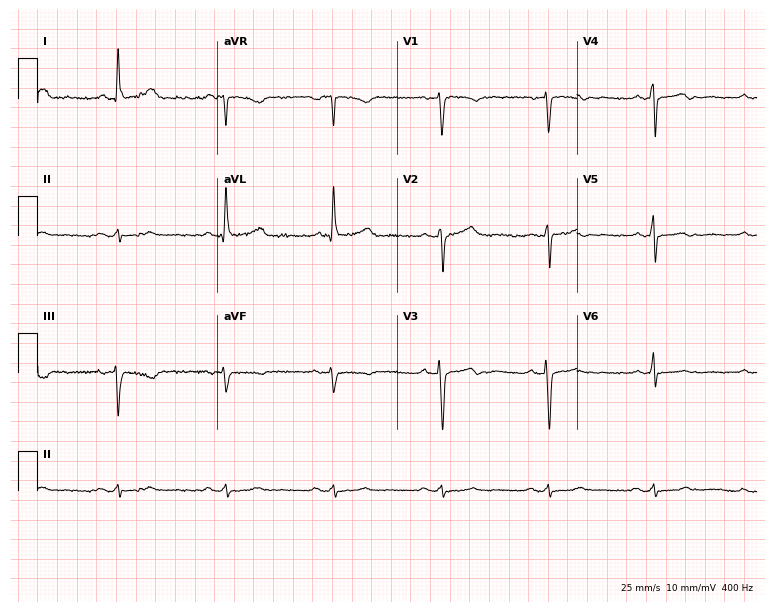
ECG — a female patient, 53 years old. Screened for six findings — first-degree AV block, right bundle branch block, left bundle branch block, sinus bradycardia, atrial fibrillation, sinus tachycardia — none is recorded. Other findings, if any, are not listed.